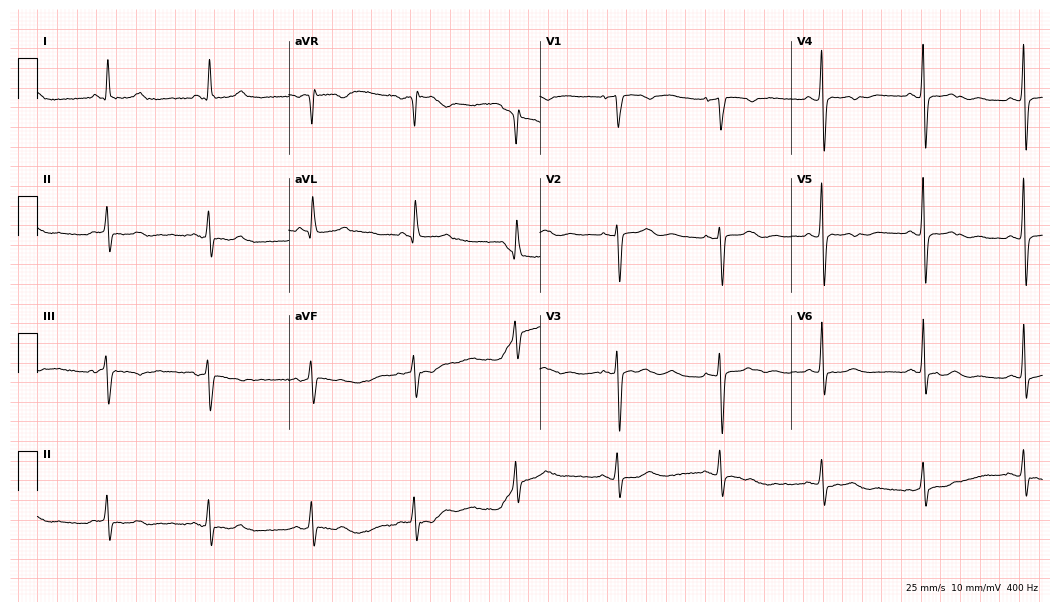
Resting 12-lead electrocardiogram (10.2-second recording at 400 Hz). Patient: a 69-year-old female. None of these six findings is recorded: first-degree AV block, right bundle branch block, left bundle branch block, sinus bradycardia, atrial fibrillation, sinus tachycardia. Findings outside these six are not listed.